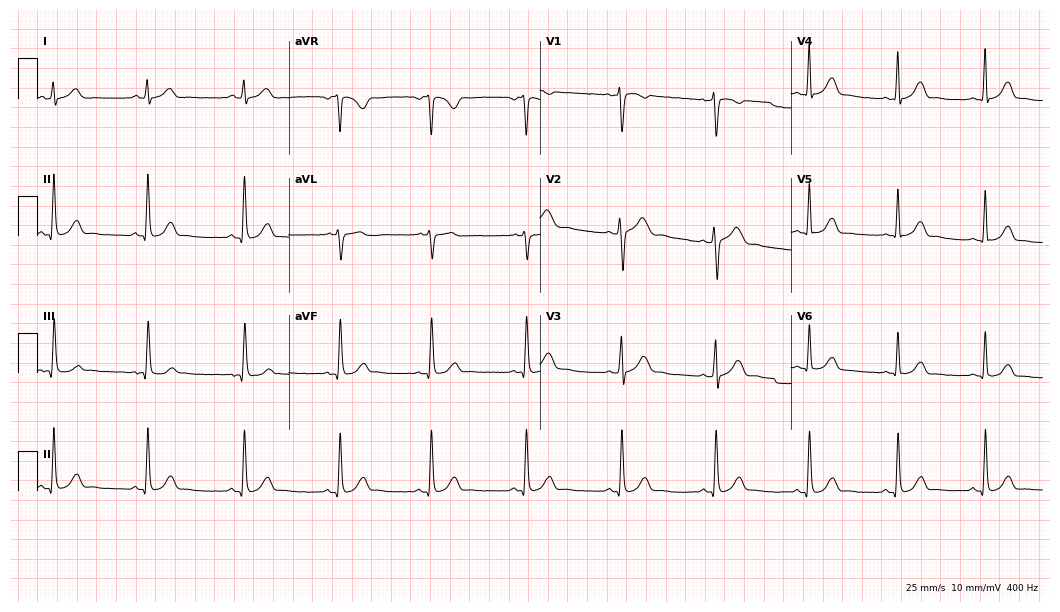
12-lead ECG from a 24-year-old woman. Screened for six findings — first-degree AV block, right bundle branch block (RBBB), left bundle branch block (LBBB), sinus bradycardia, atrial fibrillation (AF), sinus tachycardia — none is recorded.